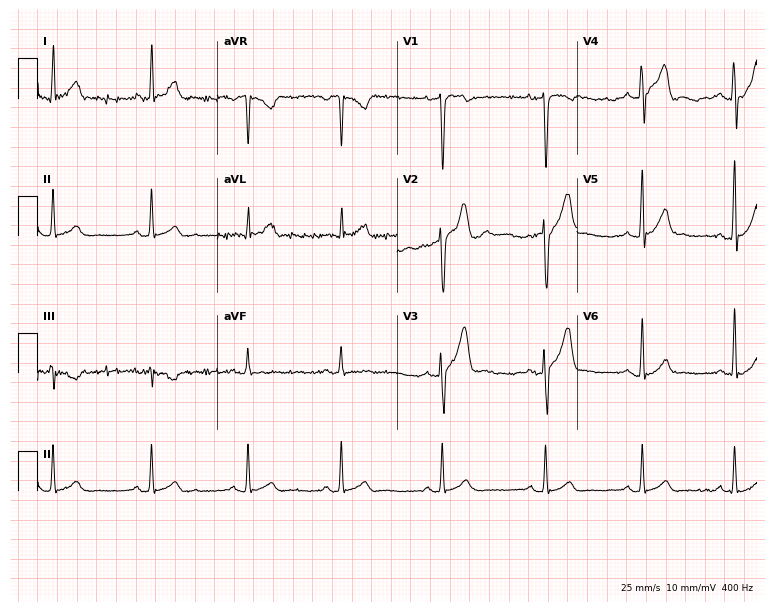
Resting 12-lead electrocardiogram. Patient: a 32-year-old male. Read as a normal ECG.